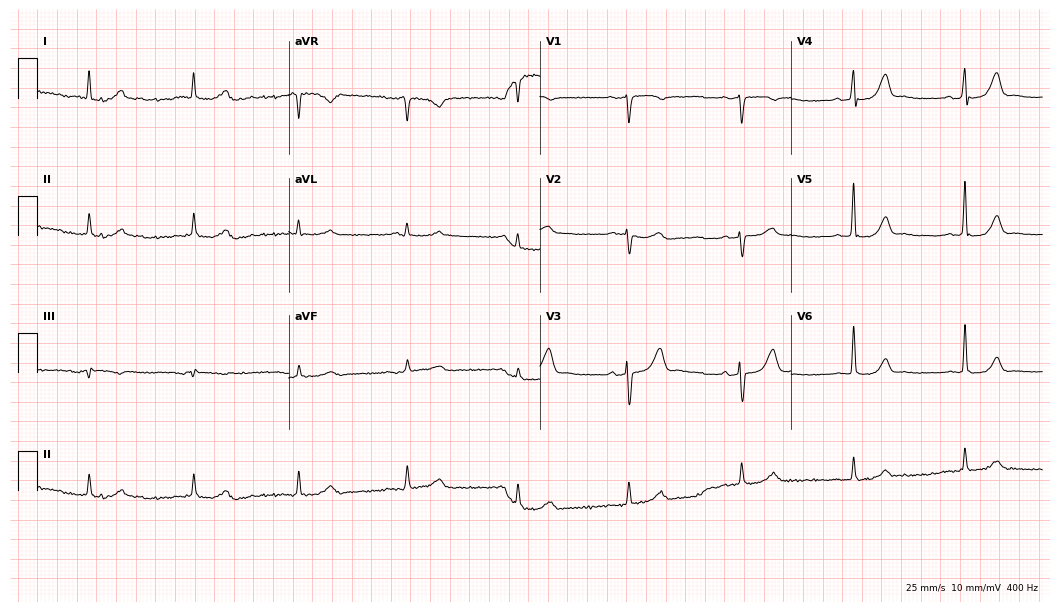
Resting 12-lead electrocardiogram (10.2-second recording at 400 Hz). Patient: a 77-year-old man. Read as a normal ECG.